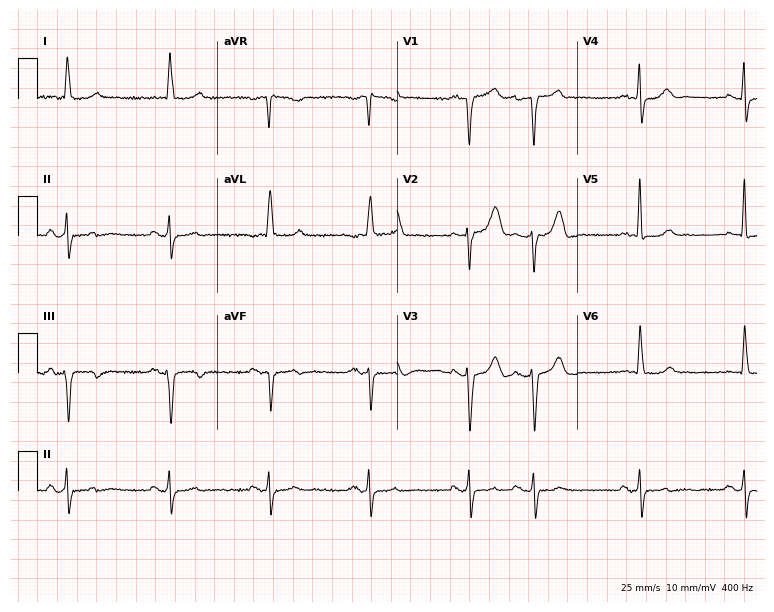
ECG (7.3-second recording at 400 Hz) — a male, 81 years old. Screened for six findings — first-degree AV block, right bundle branch block (RBBB), left bundle branch block (LBBB), sinus bradycardia, atrial fibrillation (AF), sinus tachycardia — none is recorded. Other findings, if any, are not listed.